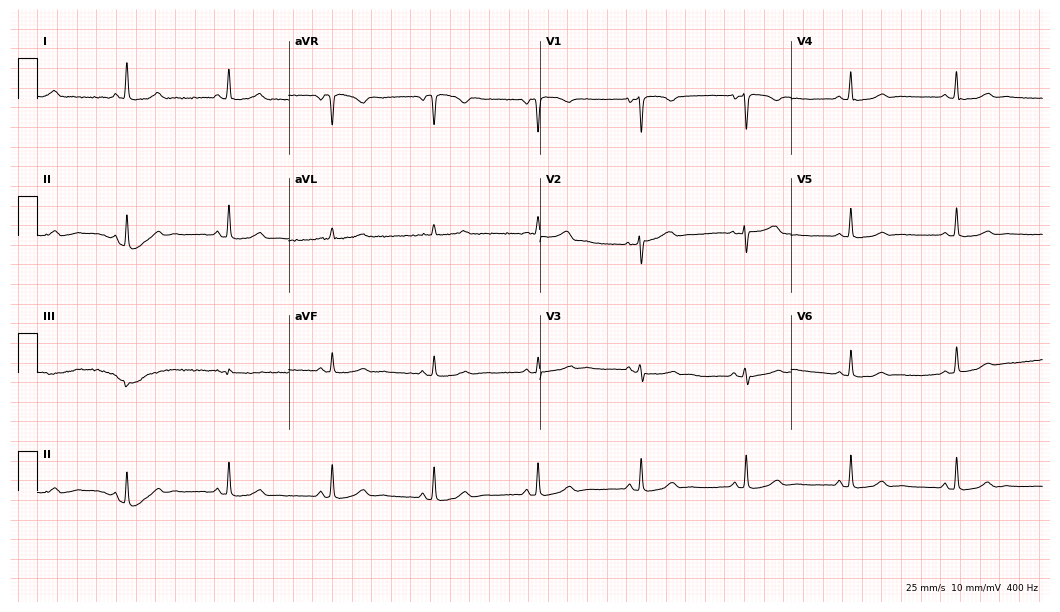
Resting 12-lead electrocardiogram. Patient: a female, 52 years old. Read as a normal ECG.